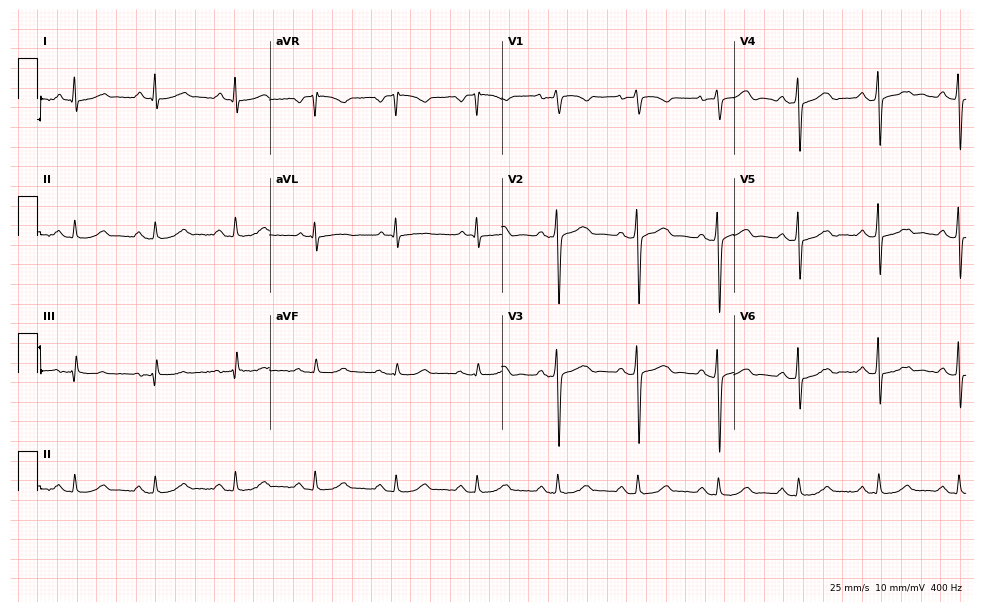
12-lead ECG from a male, 74 years old. Labelled as a normal ECG.